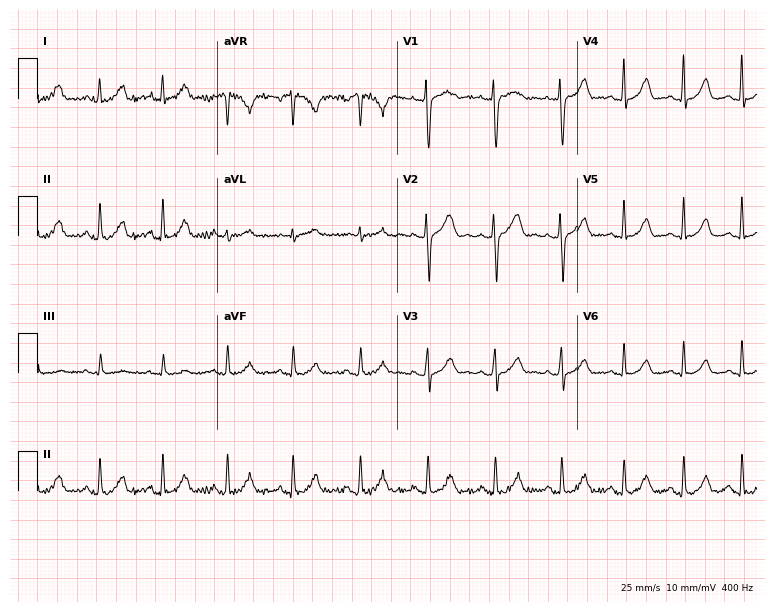
Standard 12-lead ECG recorded from a 32-year-old female patient (7.3-second recording at 400 Hz). None of these six findings is recorded: first-degree AV block, right bundle branch block, left bundle branch block, sinus bradycardia, atrial fibrillation, sinus tachycardia.